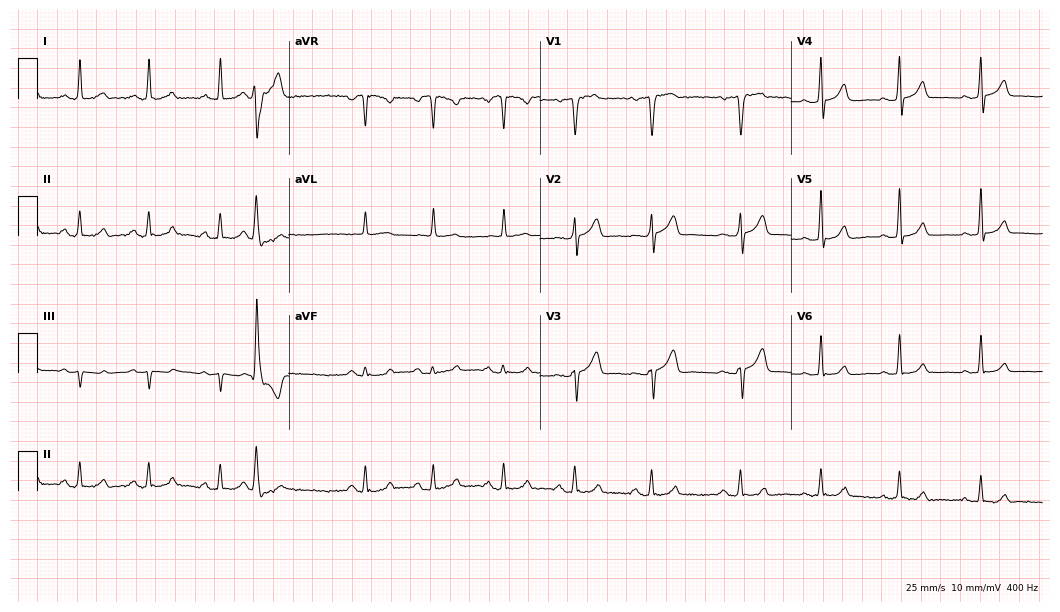
ECG (10.2-second recording at 400 Hz) — a female, 54 years old. Screened for six findings — first-degree AV block, right bundle branch block, left bundle branch block, sinus bradycardia, atrial fibrillation, sinus tachycardia — none is recorded.